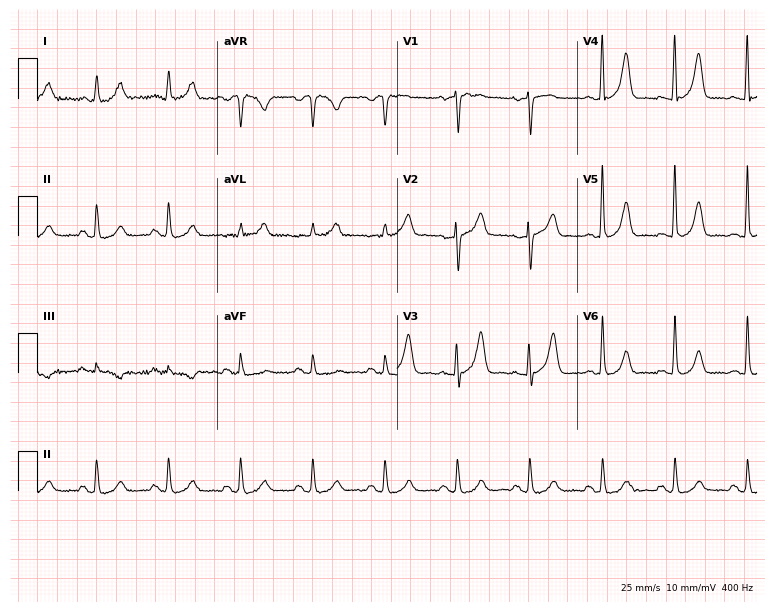
Resting 12-lead electrocardiogram. Patient: a 72-year-old female. None of these six findings is recorded: first-degree AV block, right bundle branch block, left bundle branch block, sinus bradycardia, atrial fibrillation, sinus tachycardia.